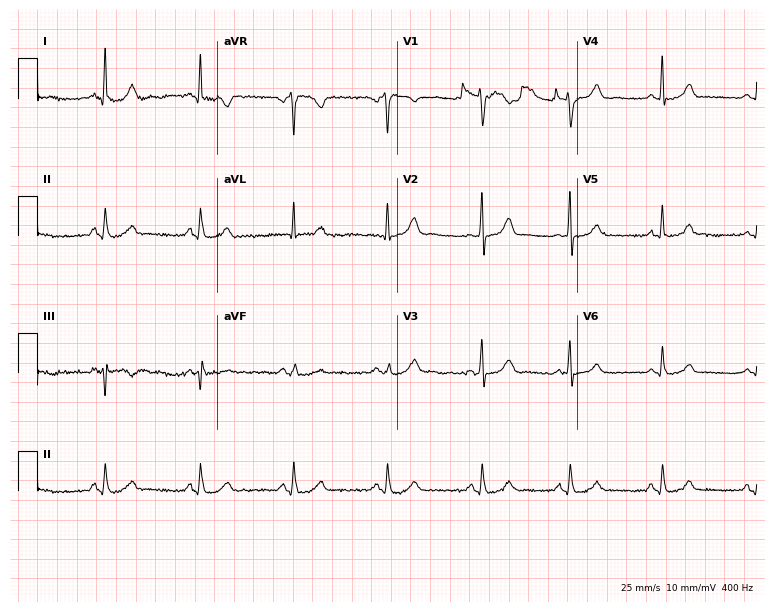
12-lead ECG from a female patient, 33 years old (7.3-second recording at 400 Hz). Recorded interpretation: within normal limits.